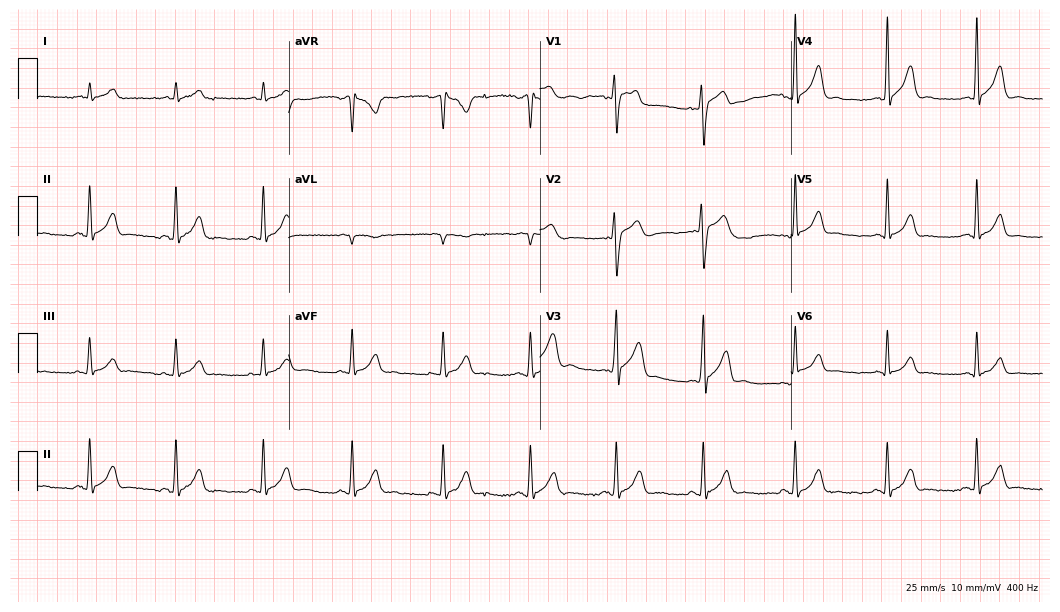
Resting 12-lead electrocardiogram (10.2-second recording at 400 Hz). Patient: a male, 26 years old. Read as a normal ECG.